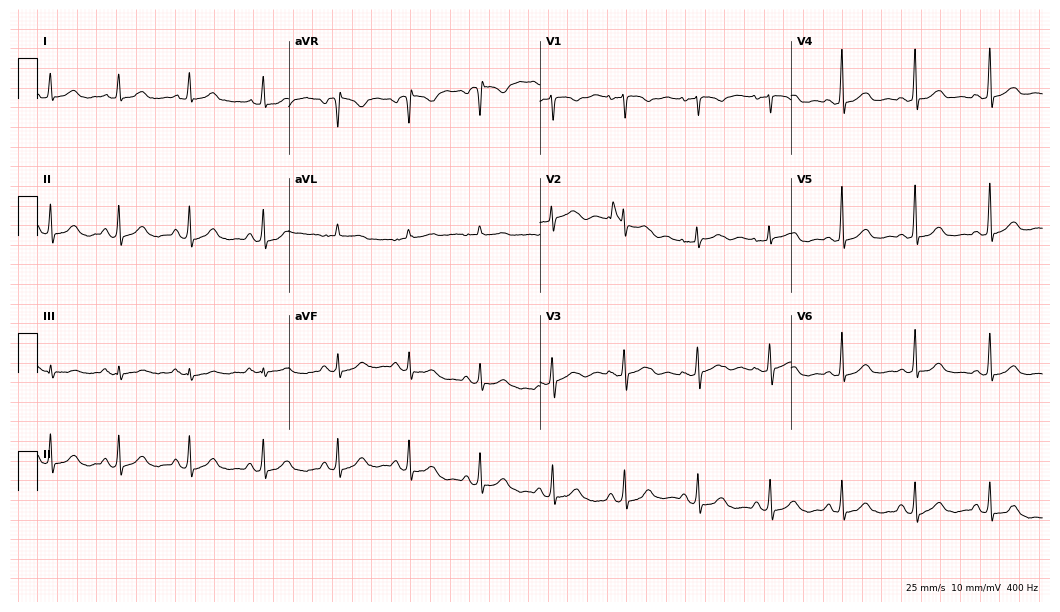
Resting 12-lead electrocardiogram (10.2-second recording at 400 Hz). Patient: a woman, 46 years old. None of these six findings is recorded: first-degree AV block, right bundle branch block, left bundle branch block, sinus bradycardia, atrial fibrillation, sinus tachycardia. Only these six findings were labelled.